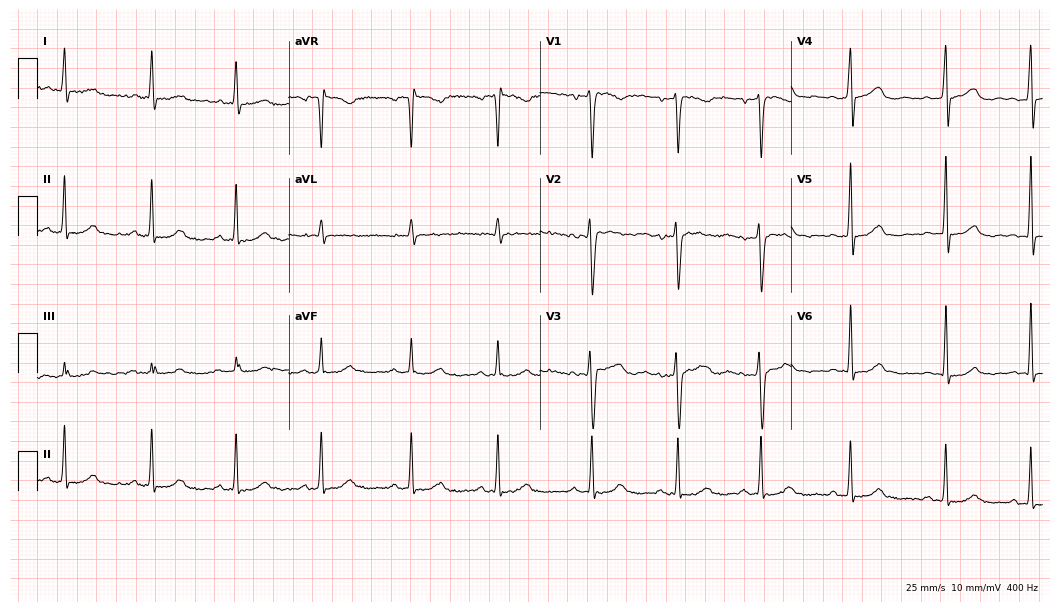
Electrocardiogram (10.2-second recording at 400 Hz), a female, 34 years old. Of the six screened findings (first-degree AV block, right bundle branch block, left bundle branch block, sinus bradycardia, atrial fibrillation, sinus tachycardia), none is recorded. Only these six findings were labelled.